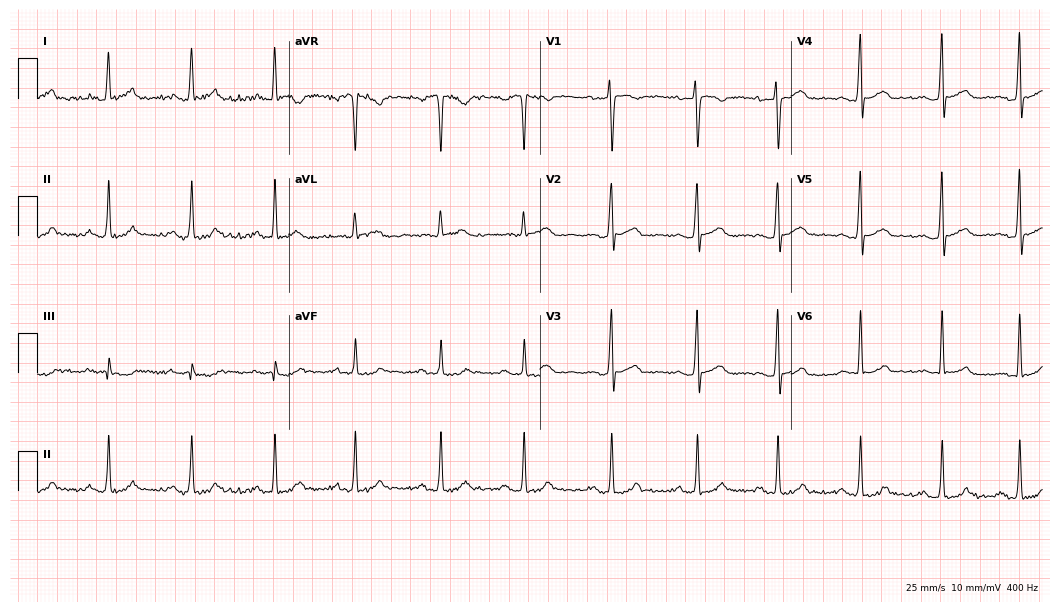
ECG (10.2-second recording at 400 Hz) — a female patient, 21 years old. Screened for six findings — first-degree AV block, right bundle branch block, left bundle branch block, sinus bradycardia, atrial fibrillation, sinus tachycardia — none is recorded. Only these six findings were labelled.